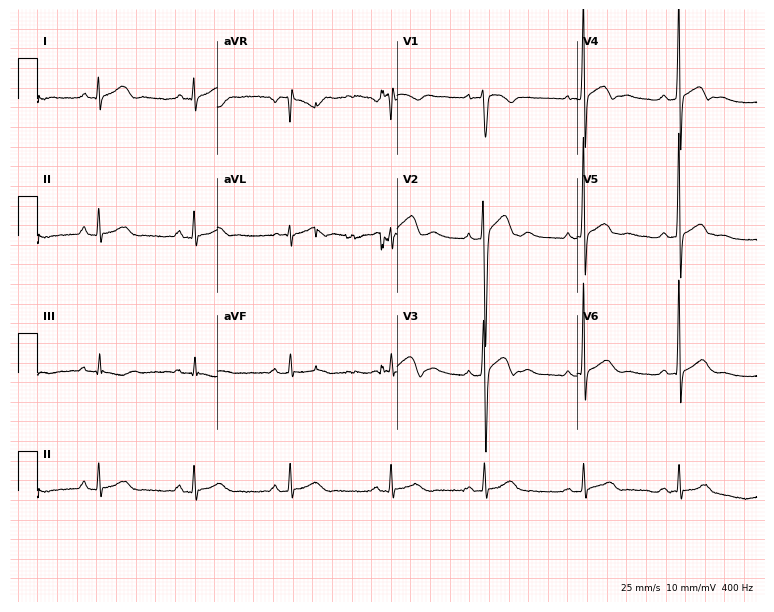
12-lead ECG (7.3-second recording at 400 Hz) from a 22-year-old male. Screened for six findings — first-degree AV block, right bundle branch block, left bundle branch block, sinus bradycardia, atrial fibrillation, sinus tachycardia — none is recorded.